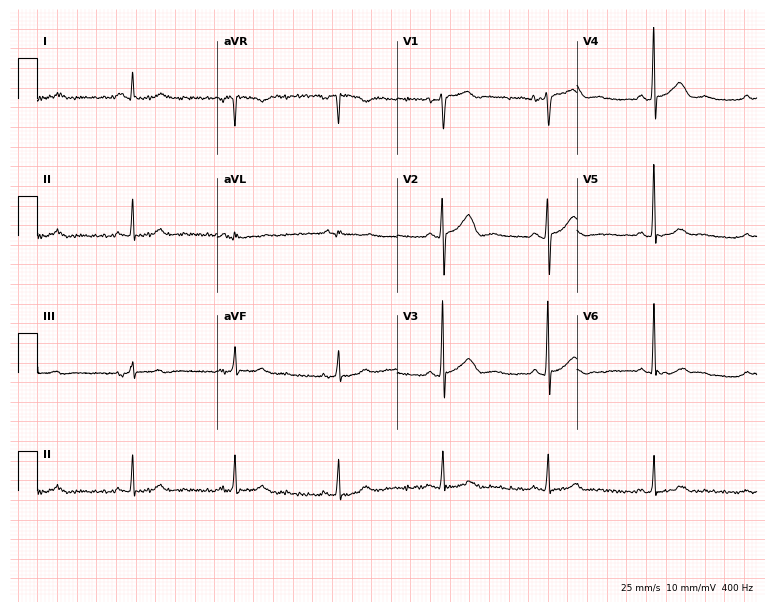
12-lead ECG from a 65-year-old male (7.3-second recording at 400 Hz). No first-degree AV block, right bundle branch block, left bundle branch block, sinus bradycardia, atrial fibrillation or sinus tachycardia recorded for this tracing.